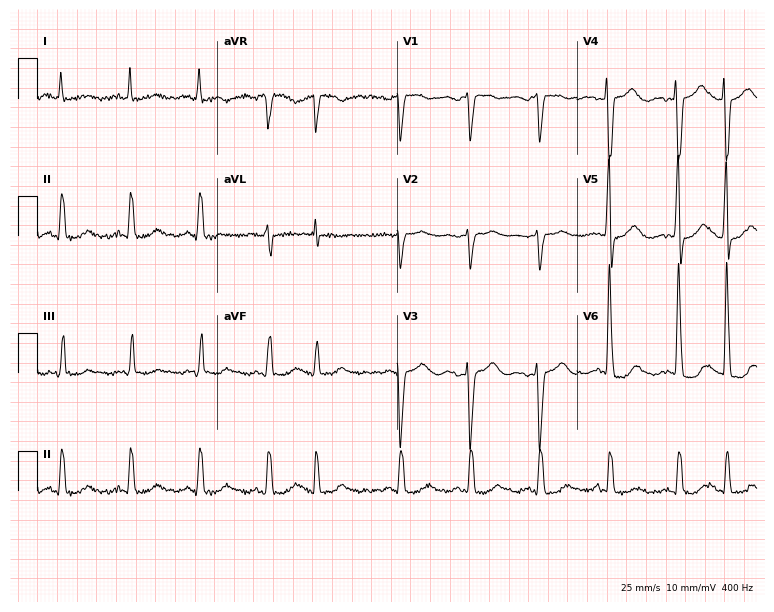
ECG — a 76-year-old male patient. Screened for six findings — first-degree AV block, right bundle branch block, left bundle branch block, sinus bradycardia, atrial fibrillation, sinus tachycardia — none is recorded. Other findings, if any, are not listed.